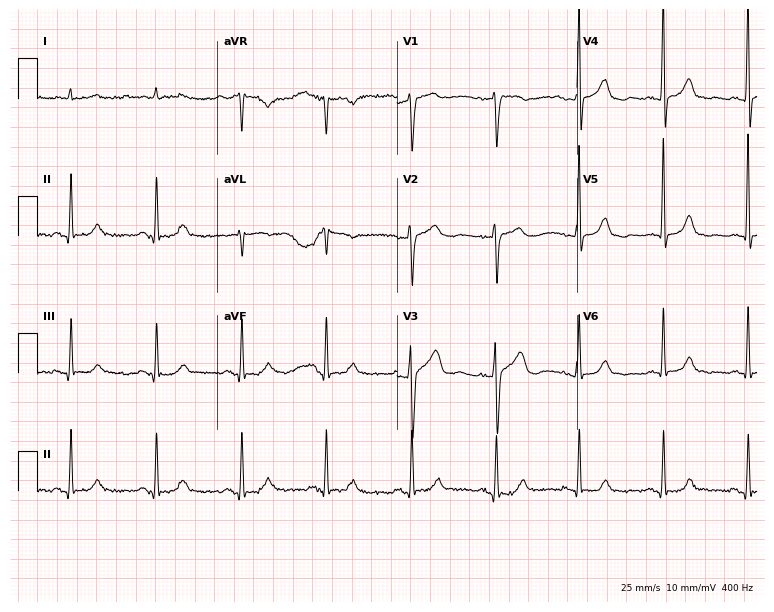
ECG (7.3-second recording at 400 Hz) — a 72-year-old male patient. Labelled as a normal ECG.